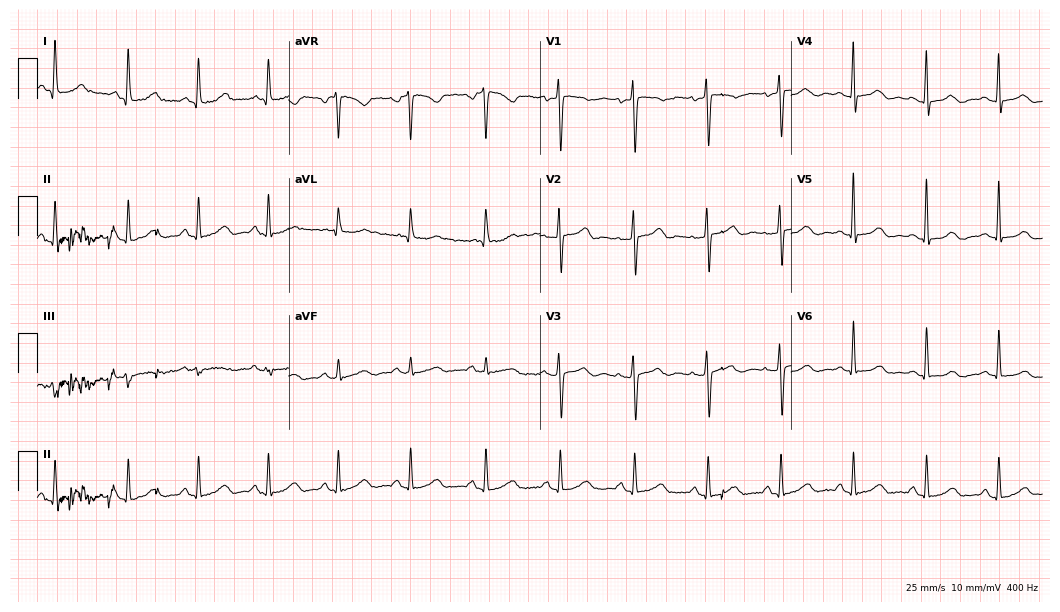
ECG — a 43-year-old female patient. Labelled as a normal ECG.